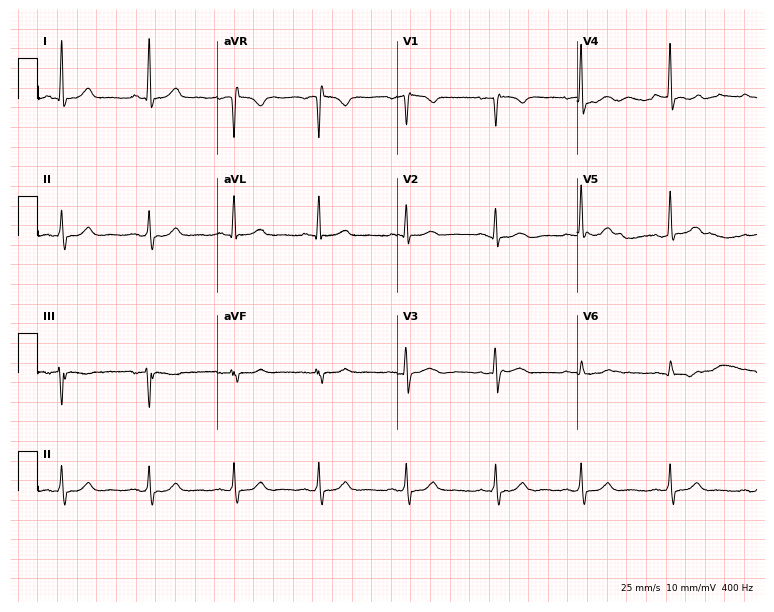
12-lead ECG from a female, 60 years old. Labelled as a normal ECG.